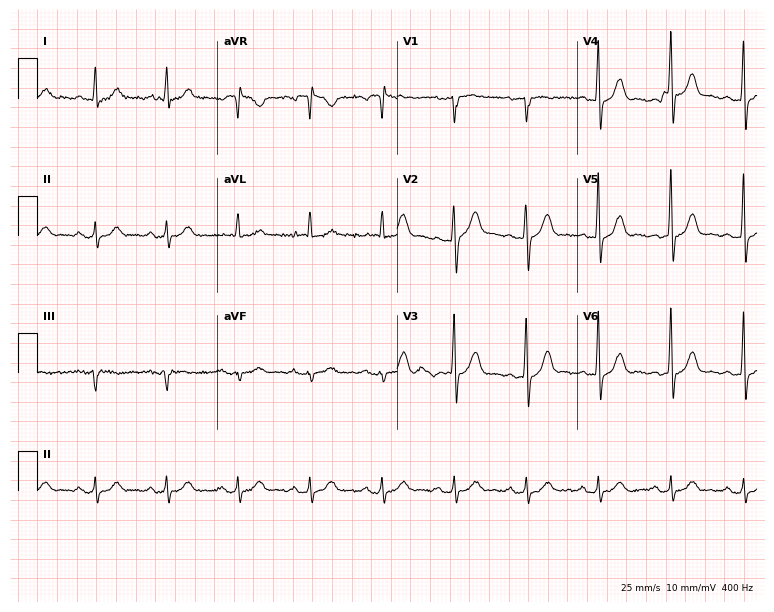
Resting 12-lead electrocardiogram (7.3-second recording at 400 Hz). Patient: a man, 73 years old. None of these six findings is recorded: first-degree AV block, right bundle branch block, left bundle branch block, sinus bradycardia, atrial fibrillation, sinus tachycardia.